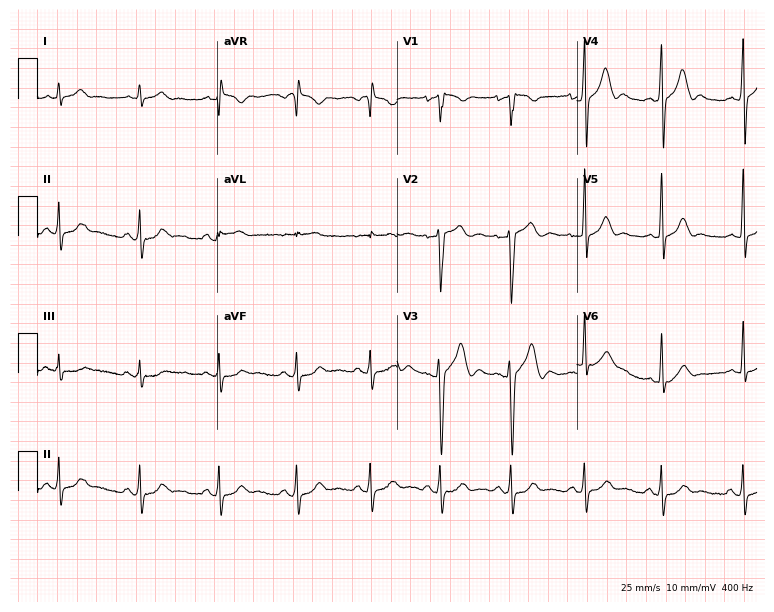
Resting 12-lead electrocardiogram. Patient: a male, 29 years old. Read as a normal ECG.